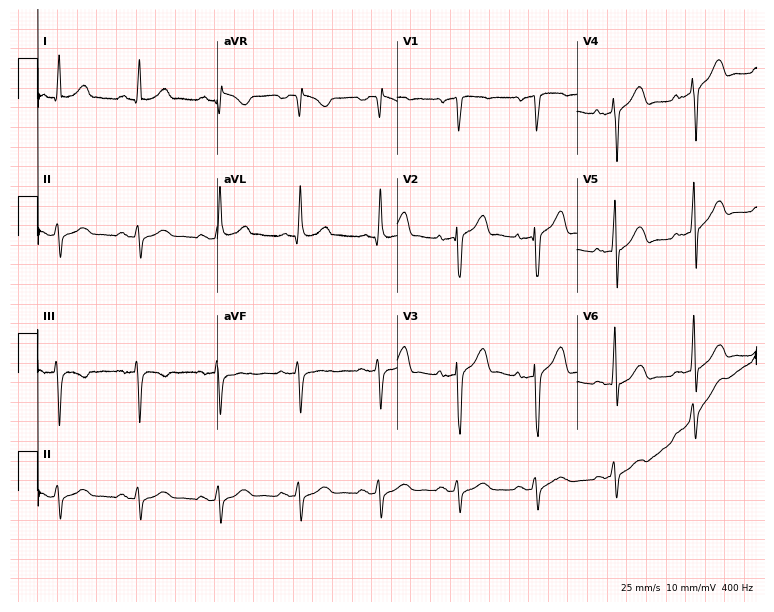
12-lead ECG from a 59-year-old male patient. Recorded interpretation: within normal limits.